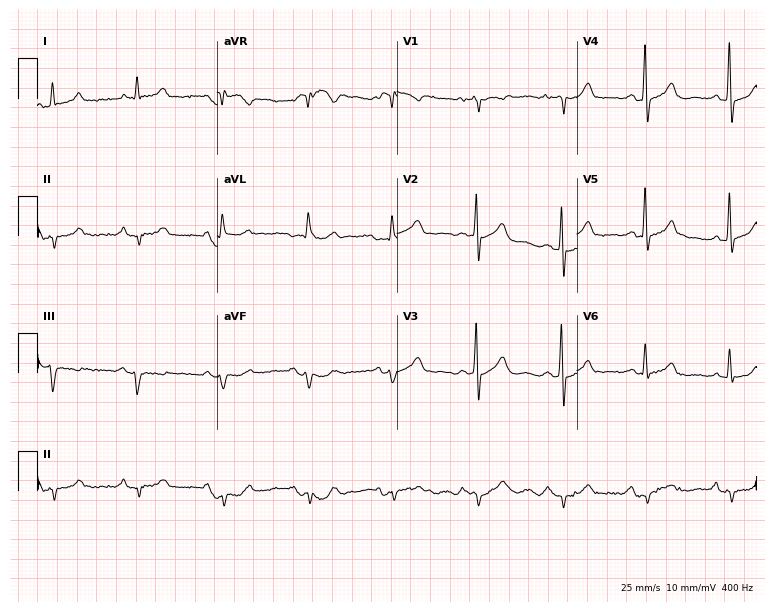
Standard 12-lead ECG recorded from a man, 75 years old (7.3-second recording at 400 Hz). None of these six findings is recorded: first-degree AV block, right bundle branch block, left bundle branch block, sinus bradycardia, atrial fibrillation, sinus tachycardia.